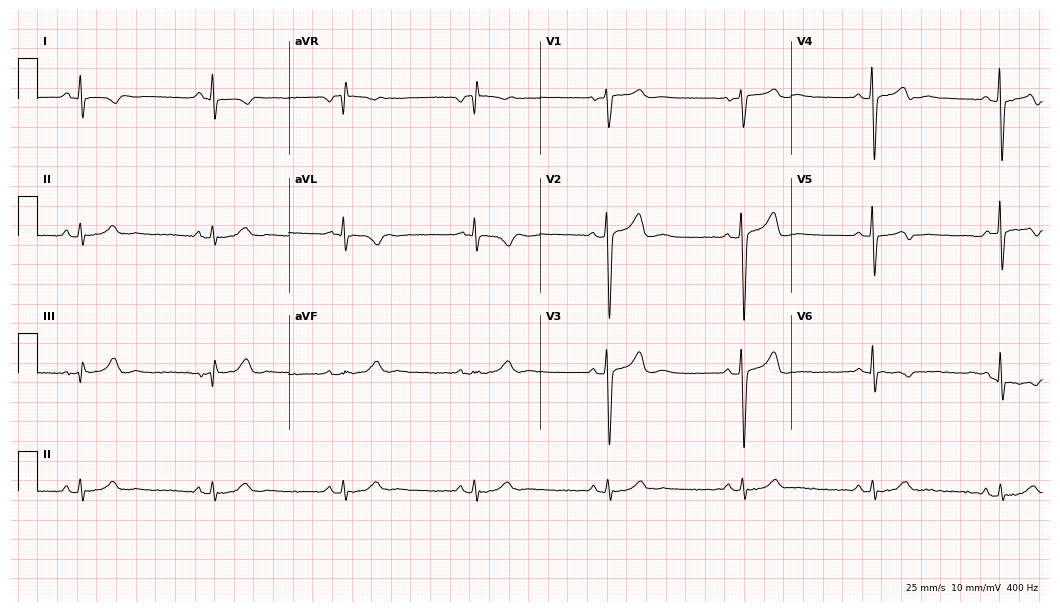
12-lead ECG from a 34-year-old female patient (10.2-second recording at 400 Hz). No first-degree AV block, right bundle branch block, left bundle branch block, sinus bradycardia, atrial fibrillation or sinus tachycardia recorded for this tracing. Findings outside these six are not listed.